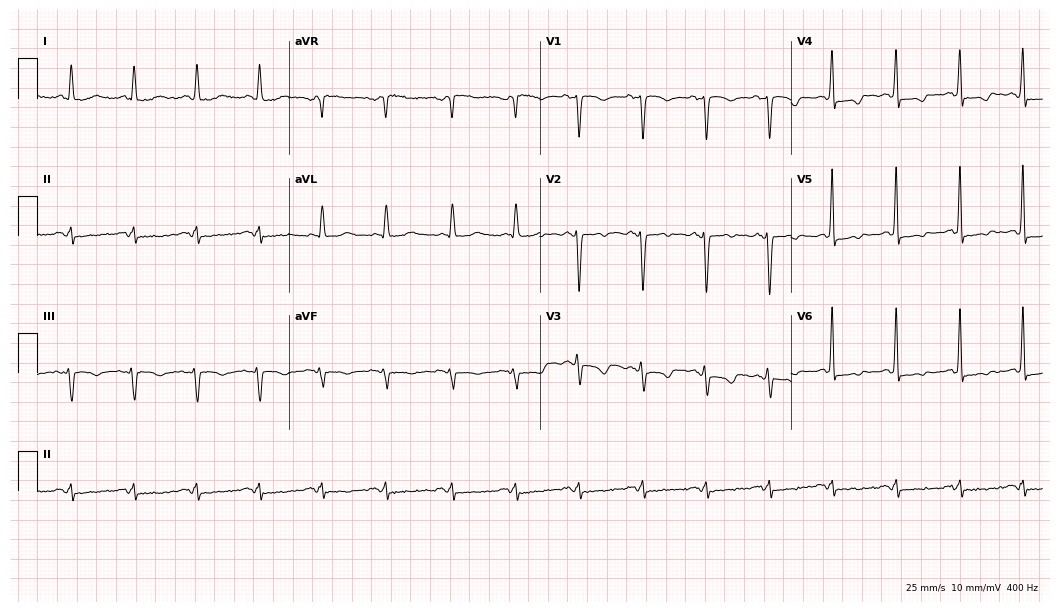
ECG (10.2-second recording at 400 Hz) — a 68-year-old female patient. Screened for six findings — first-degree AV block, right bundle branch block, left bundle branch block, sinus bradycardia, atrial fibrillation, sinus tachycardia — none is recorded.